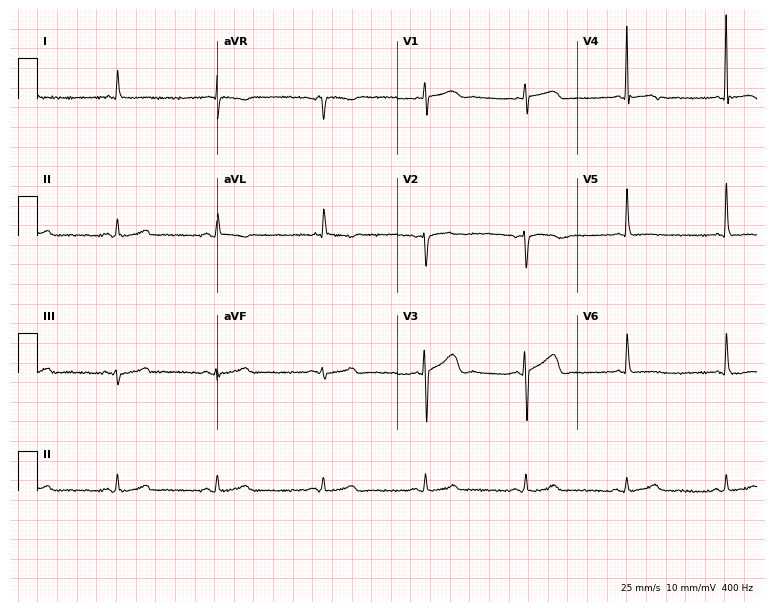
ECG — a woman, 82 years old. Screened for six findings — first-degree AV block, right bundle branch block (RBBB), left bundle branch block (LBBB), sinus bradycardia, atrial fibrillation (AF), sinus tachycardia — none is recorded.